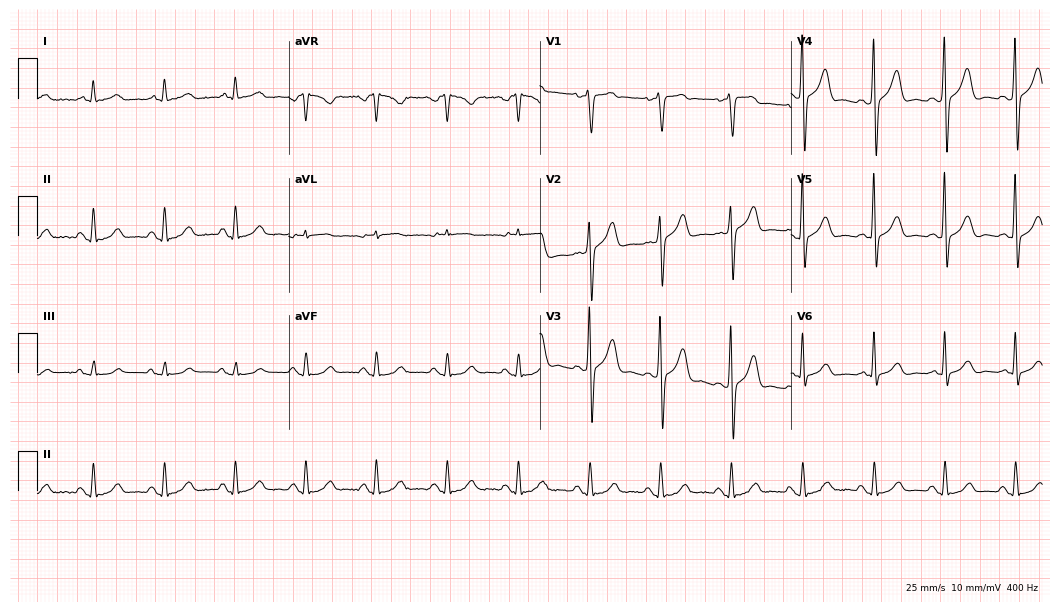
Resting 12-lead electrocardiogram. Patient: a 77-year-old man. Read as a normal ECG.